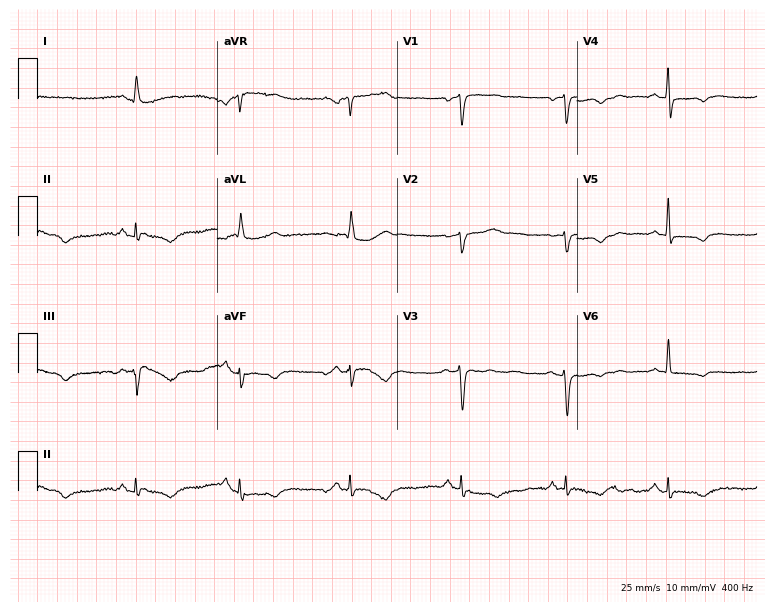
Standard 12-lead ECG recorded from a female patient, 77 years old (7.3-second recording at 400 Hz). None of these six findings is recorded: first-degree AV block, right bundle branch block, left bundle branch block, sinus bradycardia, atrial fibrillation, sinus tachycardia.